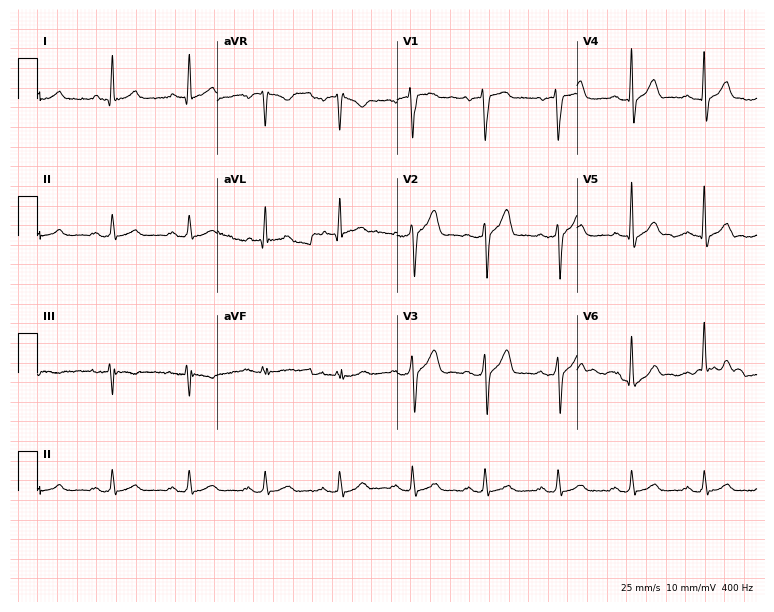
12-lead ECG from a male, 54 years old. Recorded interpretation: within normal limits.